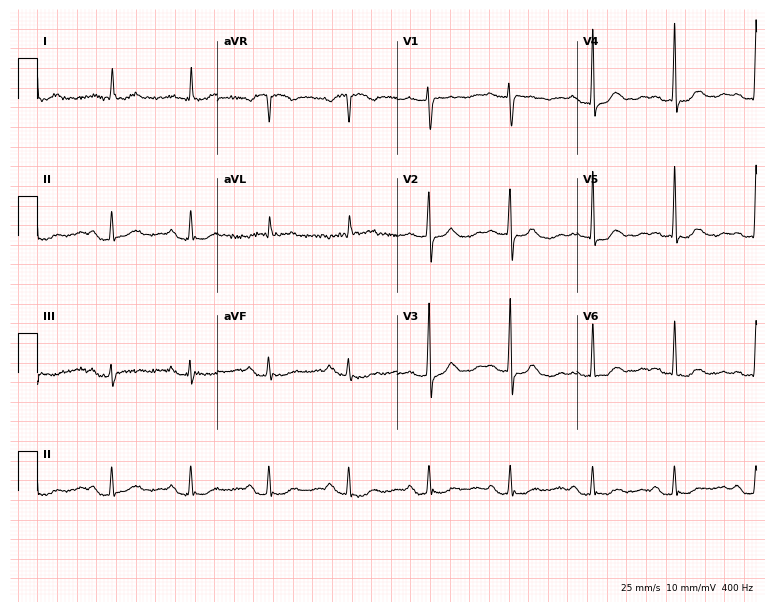
Standard 12-lead ECG recorded from an 81-year-old female patient. None of these six findings is recorded: first-degree AV block, right bundle branch block, left bundle branch block, sinus bradycardia, atrial fibrillation, sinus tachycardia. Findings outside these six are not listed.